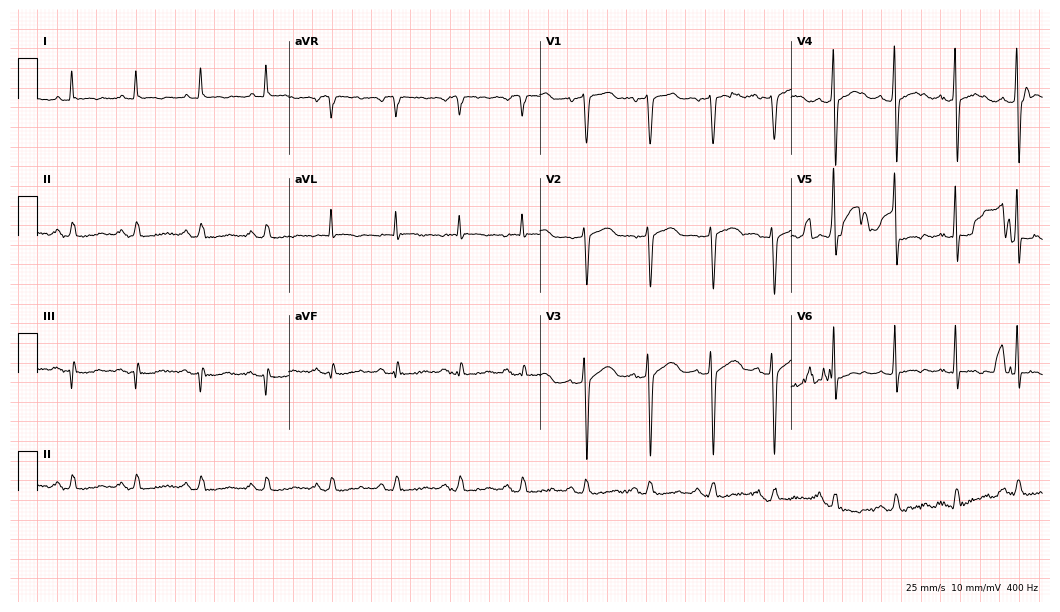
ECG — a male patient, 75 years old. Screened for six findings — first-degree AV block, right bundle branch block, left bundle branch block, sinus bradycardia, atrial fibrillation, sinus tachycardia — none is recorded.